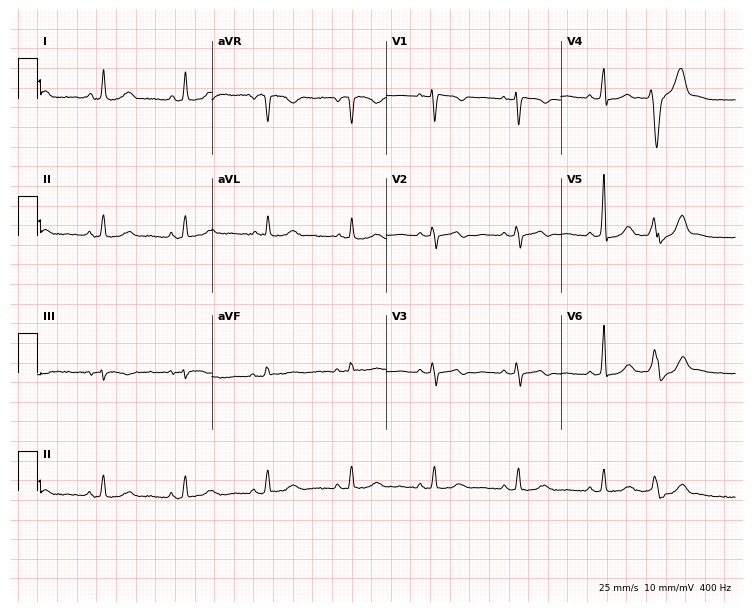
Electrocardiogram, a female patient, 68 years old. Of the six screened findings (first-degree AV block, right bundle branch block, left bundle branch block, sinus bradycardia, atrial fibrillation, sinus tachycardia), none is recorded.